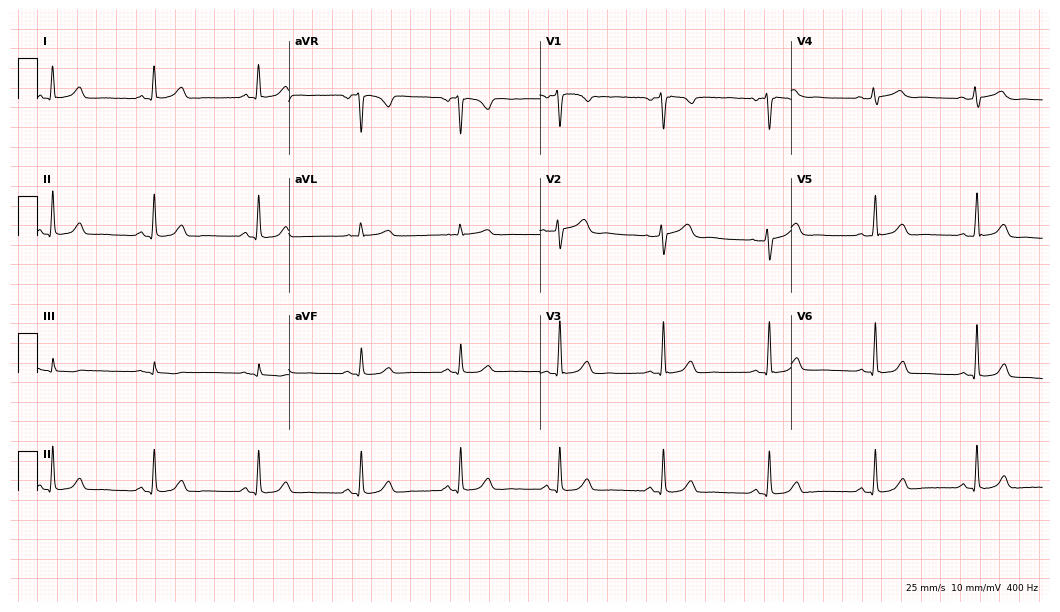
Resting 12-lead electrocardiogram (10.2-second recording at 400 Hz). Patient: a female, 45 years old. Read as a normal ECG.